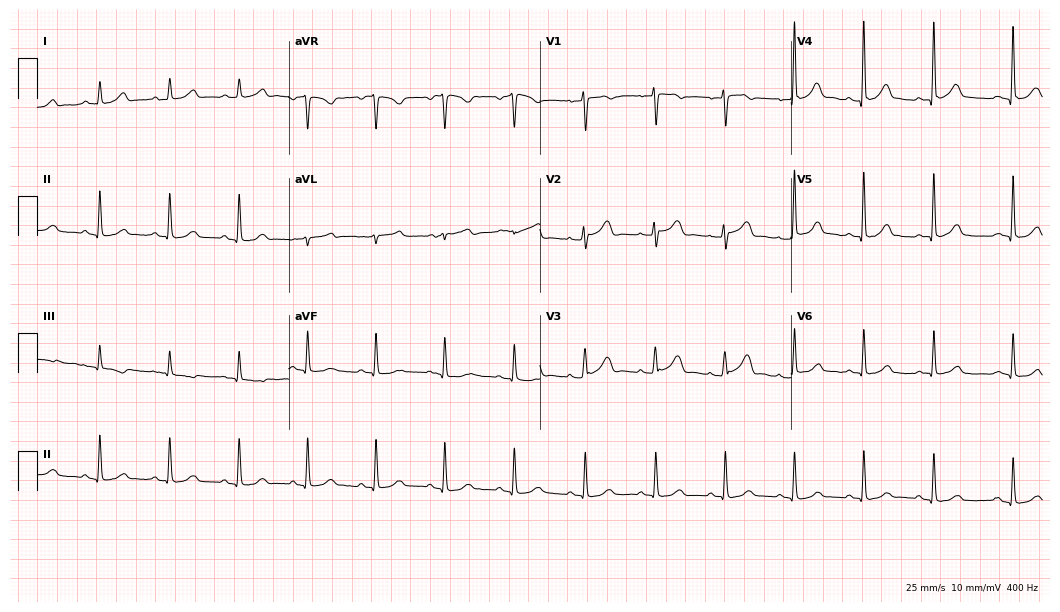
12-lead ECG (10.2-second recording at 400 Hz) from a 48-year-old female. Labelled as a normal ECG.